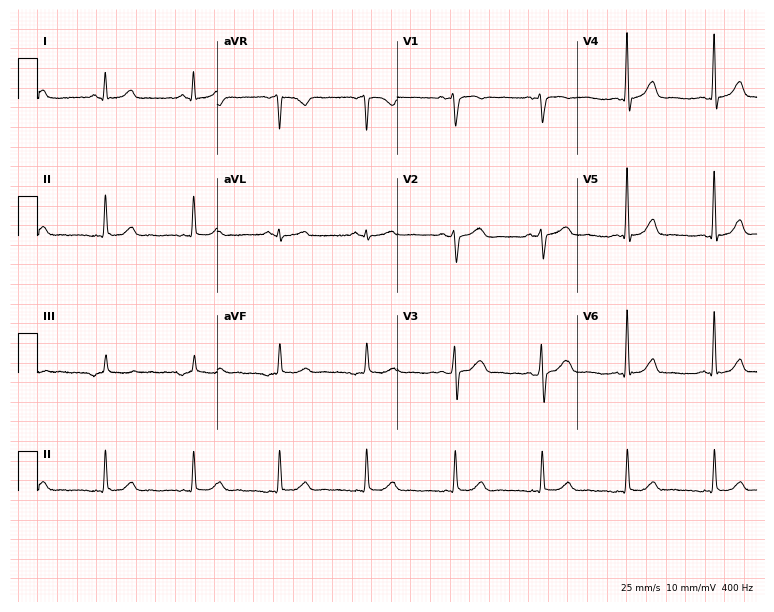
12-lead ECG from a 56-year-old female (7.3-second recording at 400 Hz). Recorded interpretation: within normal limits.